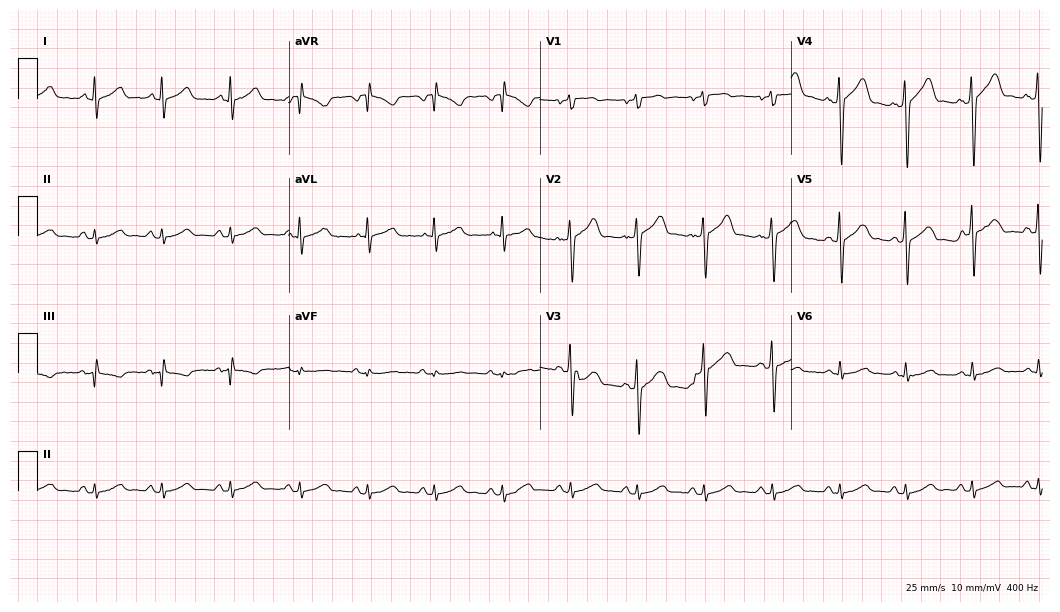
12-lead ECG from a 43-year-old male. No first-degree AV block, right bundle branch block (RBBB), left bundle branch block (LBBB), sinus bradycardia, atrial fibrillation (AF) or sinus tachycardia recorded for this tracing.